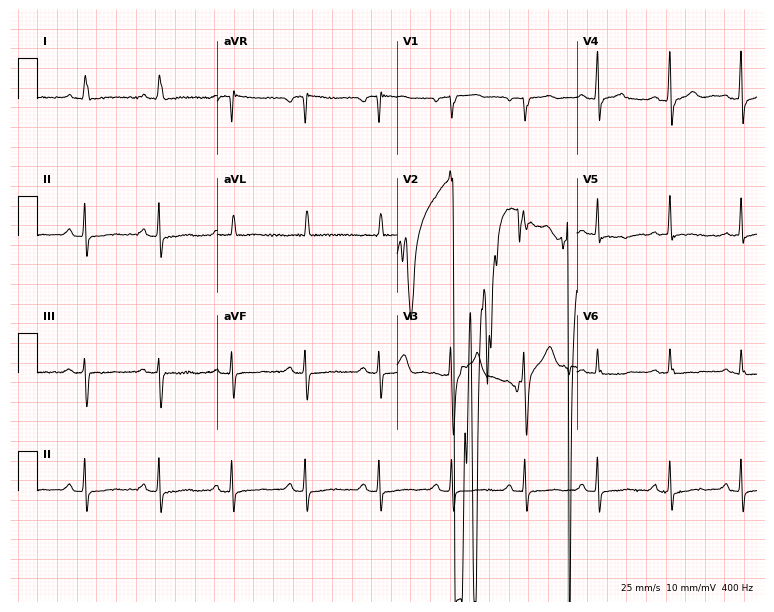
12-lead ECG (7.3-second recording at 400 Hz) from a female, 60 years old. Screened for six findings — first-degree AV block, right bundle branch block, left bundle branch block, sinus bradycardia, atrial fibrillation, sinus tachycardia — none is recorded. Findings outside these six are not listed.